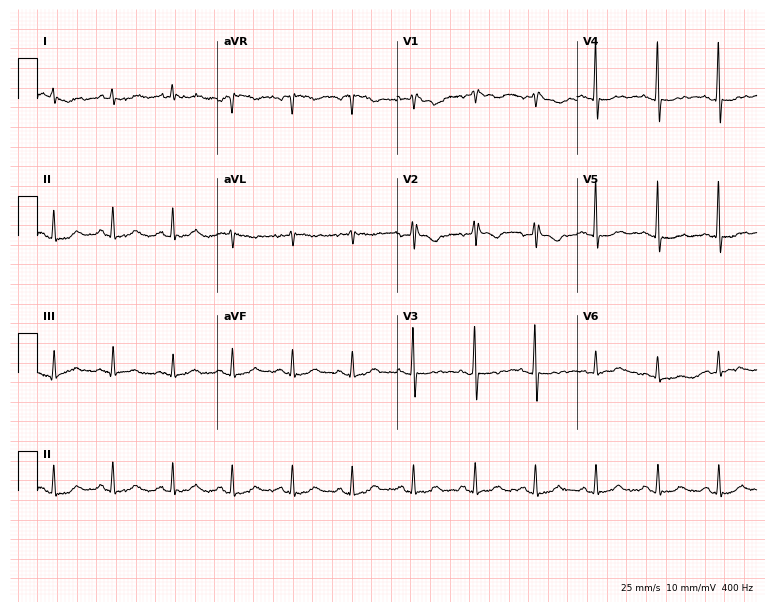
12-lead ECG from a 59-year-old female patient. No first-degree AV block, right bundle branch block, left bundle branch block, sinus bradycardia, atrial fibrillation or sinus tachycardia recorded for this tracing.